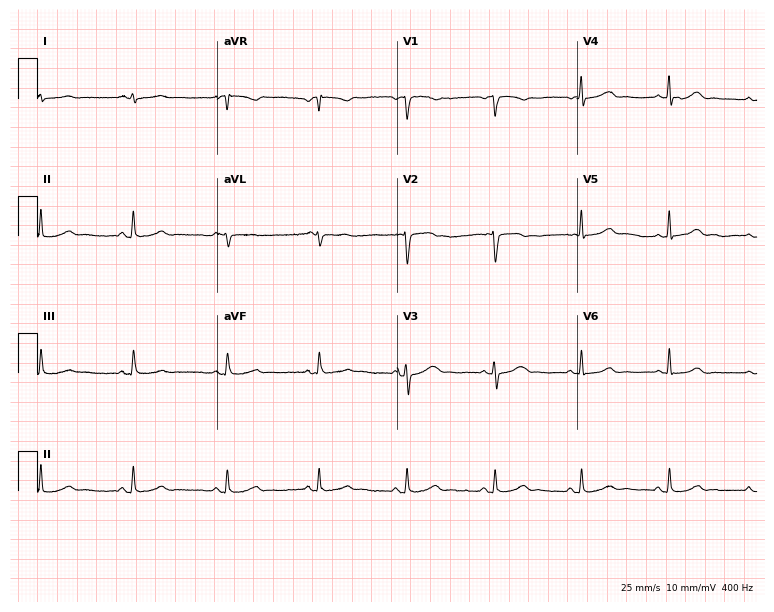
ECG — a 33-year-old female patient. Labelled as a normal ECG.